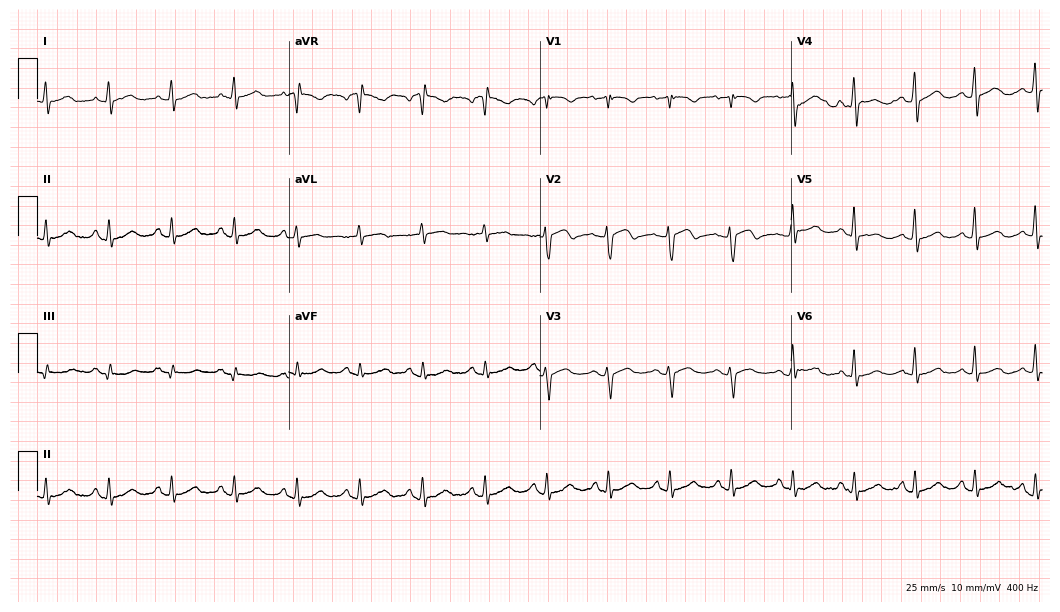
Standard 12-lead ECG recorded from a female, 50 years old (10.2-second recording at 400 Hz). Read as a normal ECG.